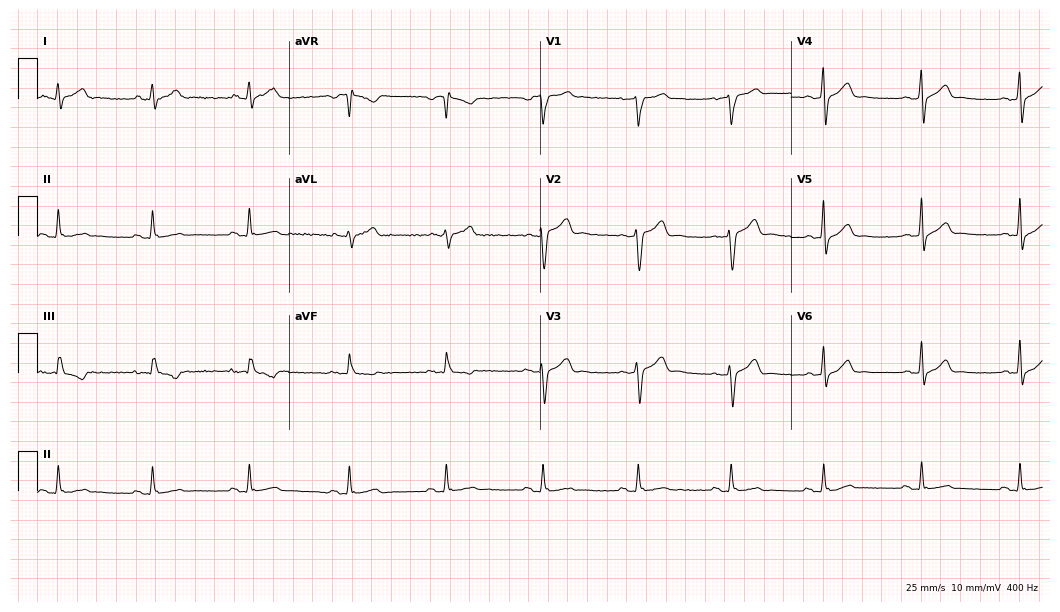
ECG — a 28-year-old man. Screened for six findings — first-degree AV block, right bundle branch block (RBBB), left bundle branch block (LBBB), sinus bradycardia, atrial fibrillation (AF), sinus tachycardia — none is recorded.